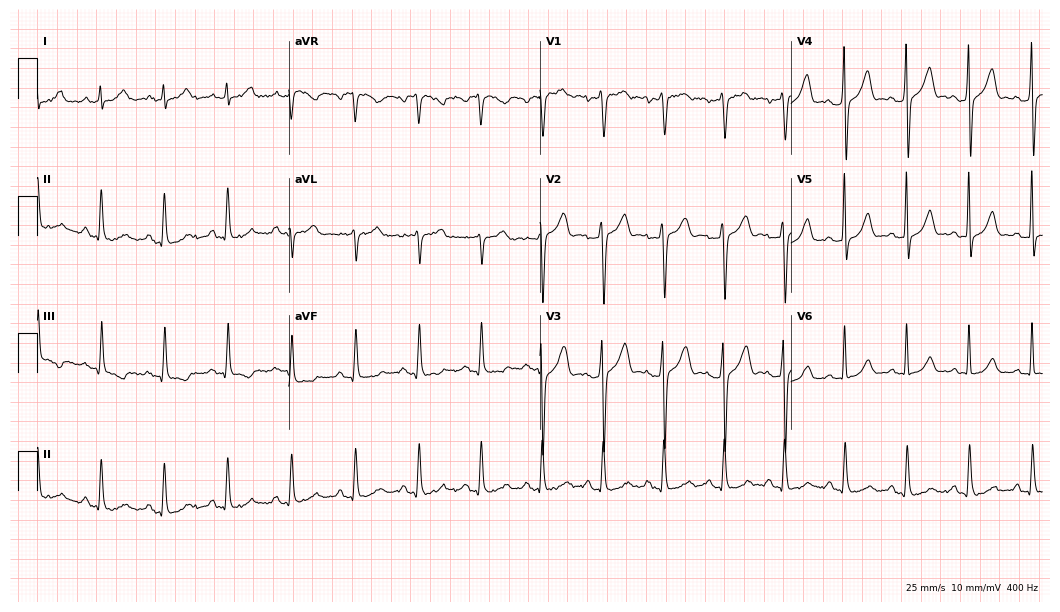
12-lead ECG from a male patient, 44 years old. Recorded interpretation: within normal limits.